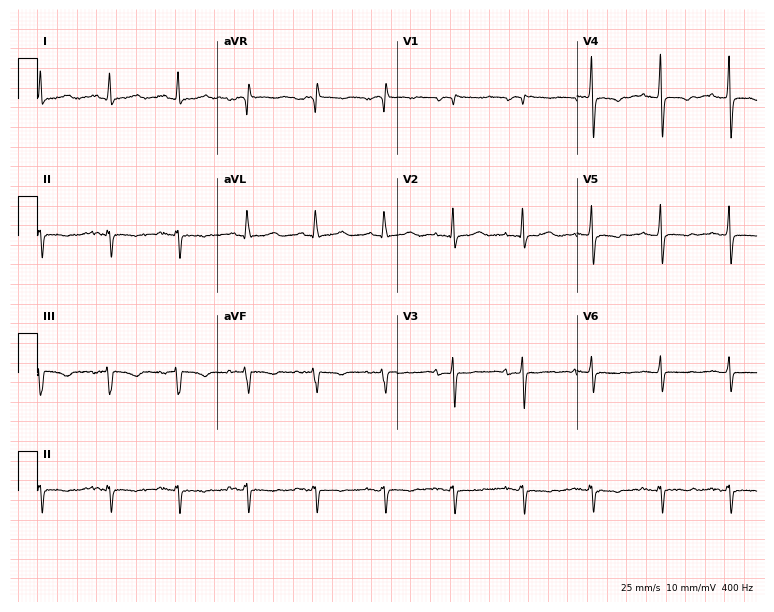
12-lead ECG from a woman, 79 years old. Screened for six findings — first-degree AV block, right bundle branch block, left bundle branch block, sinus bradycardia, atrial fibrillation, sinus tachycardia — none is recorded.